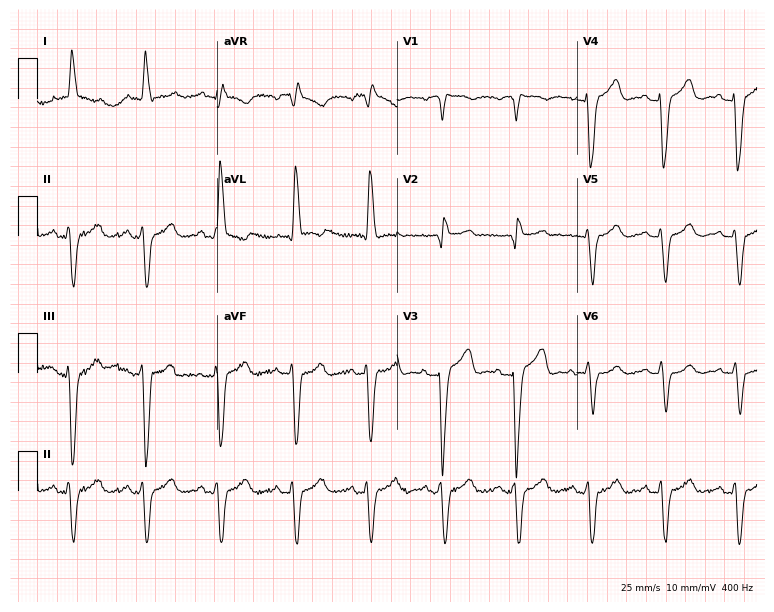
Resting 12-lead electrocardiogram. Patient: a 71-year-old female. The tracing shows right bundle branch block.